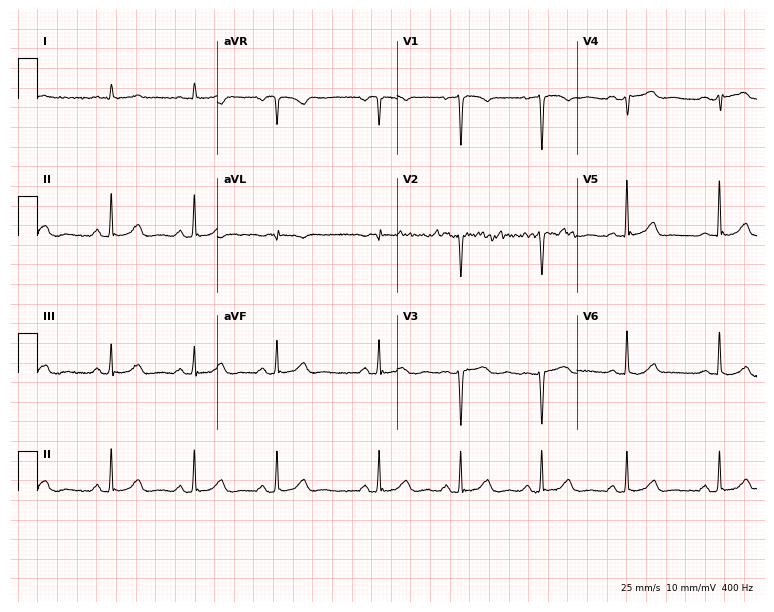
Standard 12-lead ECG recorded from a female, 82 years old. None of these six findings is recorded: first-degree AV block, right bundle branch block, left bundle branch block, sinus bradycardia, atrial fibrillation, sinus tachycardia.